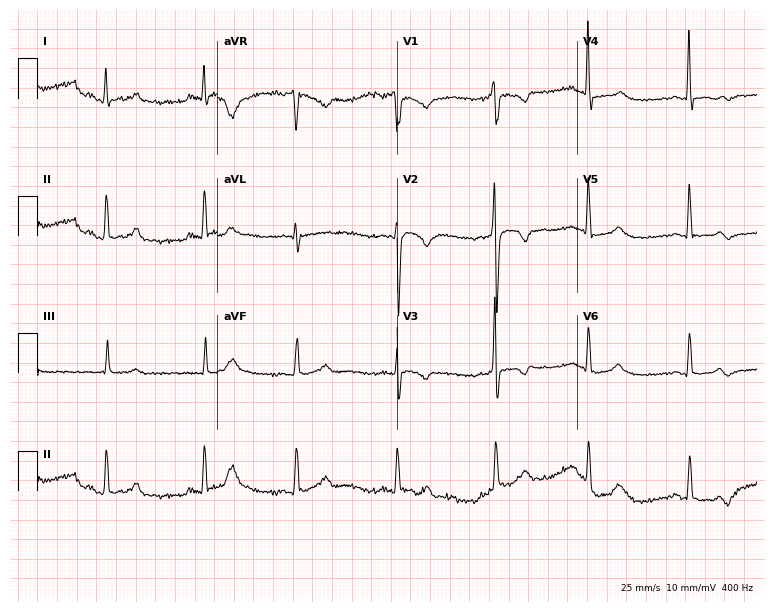
Standard 12-lead ECG recorded from a 44-year-old male. None of these six findings is recorded: first-degree AV block, right bundle branch block (RBBB), left bundle branch block (LBBB), sinus bradycardia, atrial fibrillation (AF), sinus tachycardia. Other findings, if any, are not listed.